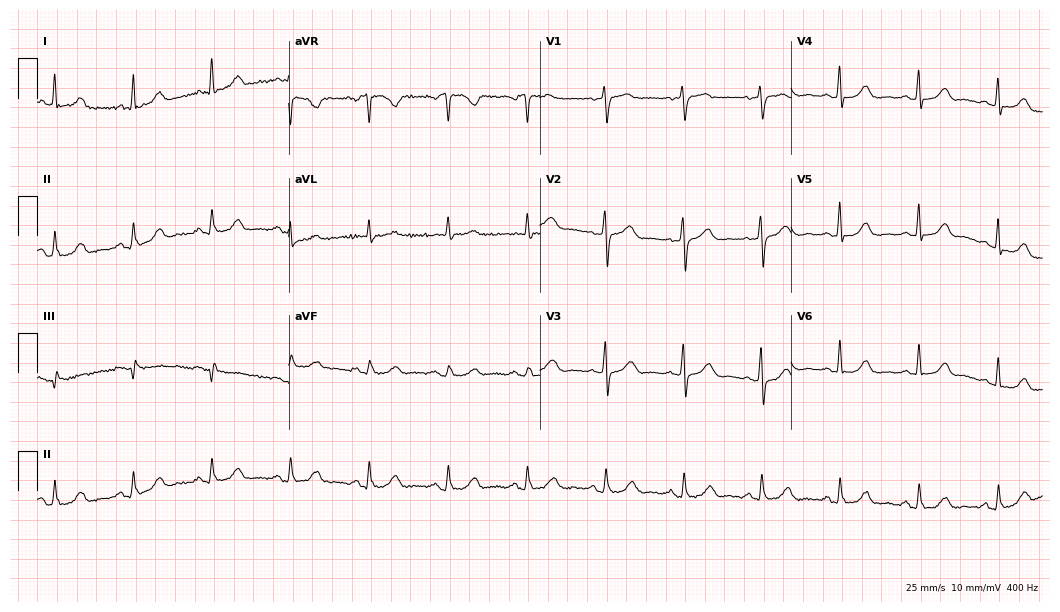
Resting 12-lead electrocardiogram (10.2-second recording at 400 Hz). Patient: a female, 70 years old. None of these six findings is recorded: first-degree AV block, right bundle branch block, left bundle branch block, sinus bradycardia, atrial fibrillation, sinus tachycardia. Other findings, if any, are not listed.